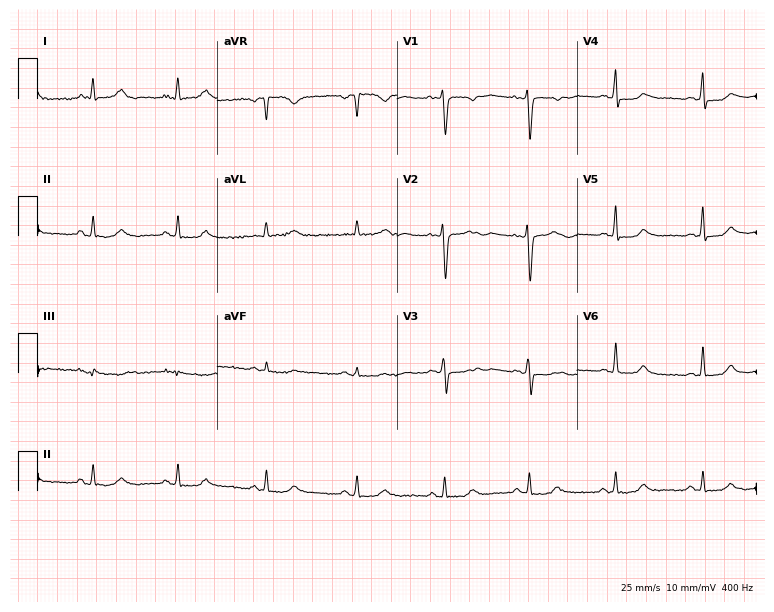
Standard 12-lead ECG recorded from a 34-year-old female patient. None of these six findings is recorded: first-degree AV block, right bundle branch block, left bundle branch block, sinus bradycardia, atrial fibrillation, sinus tachycardia. Other findings, if any, are not listed.